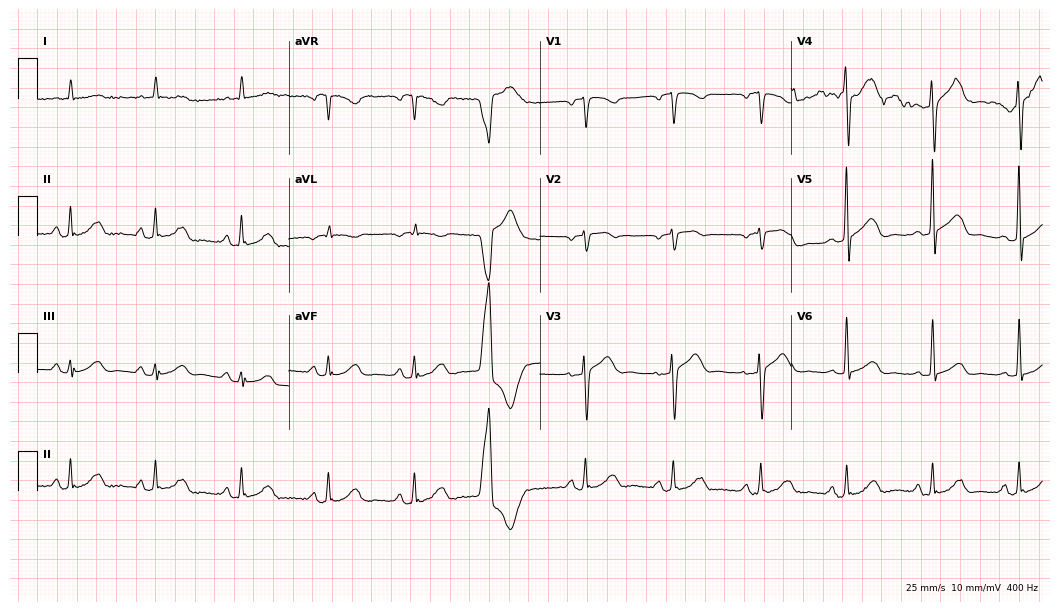
ECG (10.2-second recording at 400 Hz) — a female patient, 80 years old. Screened for six findings — first-degree AV block, right bundle branch block, left bundle branch block, sinus bradycardia, atrial fibrillation, sinus tachycardia — none is recorded. Other findings, if any, are not listed.